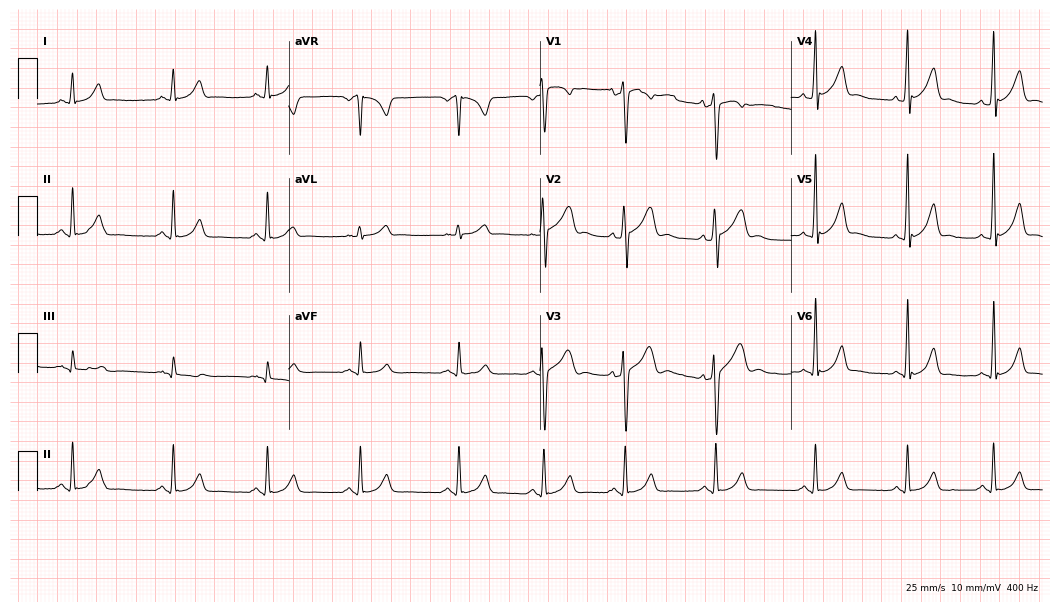
12-lead ECG from a 28-year-old man (10.2-second recording at 400 Hz). No first-degree AV block, right bundle branch block (RBBB), left bundle branch block (LBBB), sinus bradycardia, atrial fibrillation (AF) or sinus tachycardia recorded for this tracing.